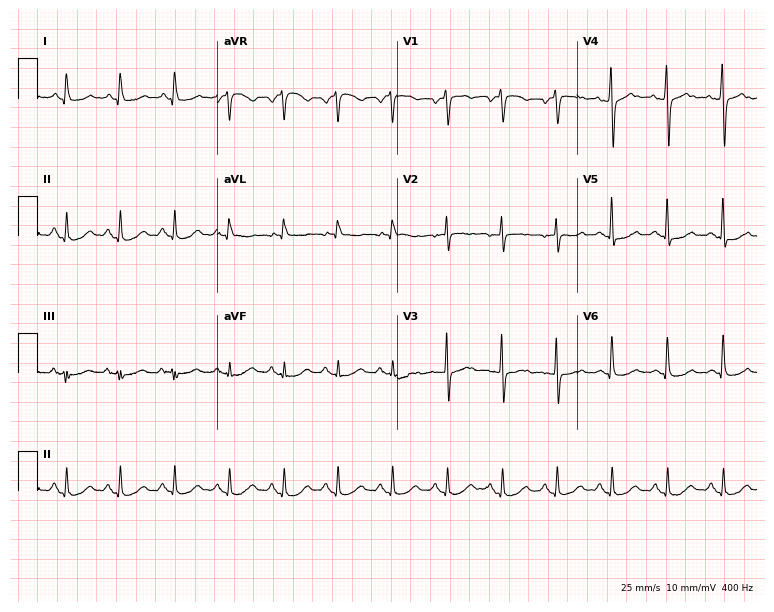
ECG (7.3-second recording at 400 Hz) — a female patient, 80 years old. Findings include sinus tachycardia (a sinus rate of 100 beats per minute or more).